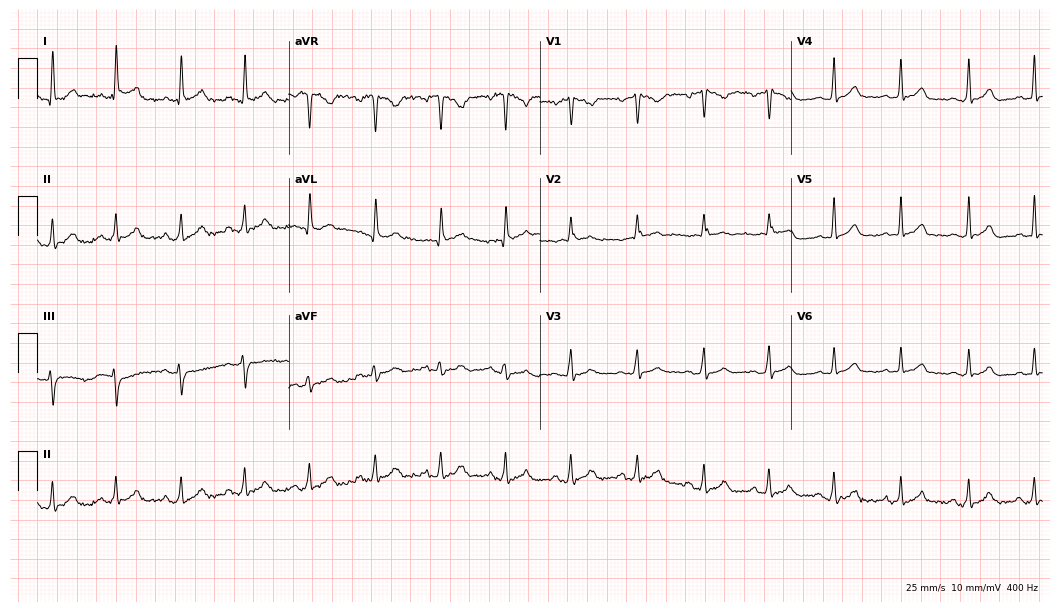
Standard 12-lead ECG recorded from a female patient, 37 years old (10.2-second recording at 400 Hz). Read as a normal ECG.